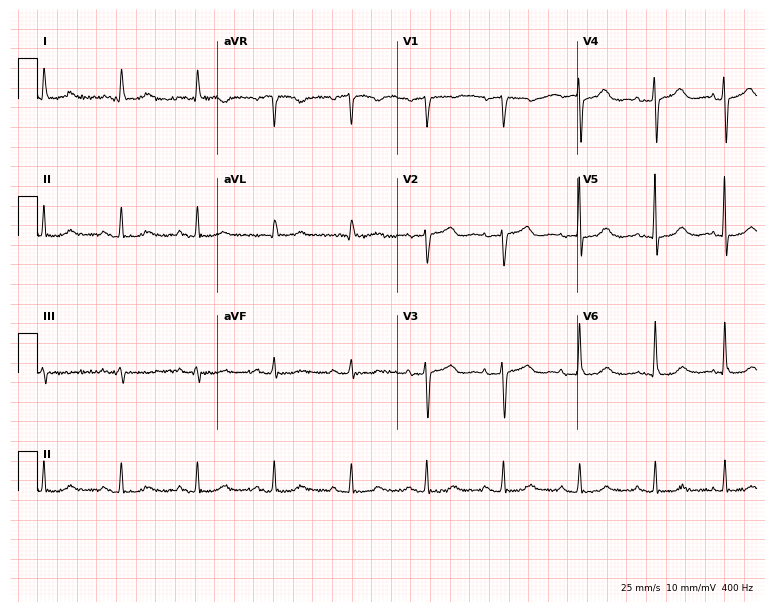
Electrocardiogram, an 84-year-old female. Overall reading on record: normal ECG.